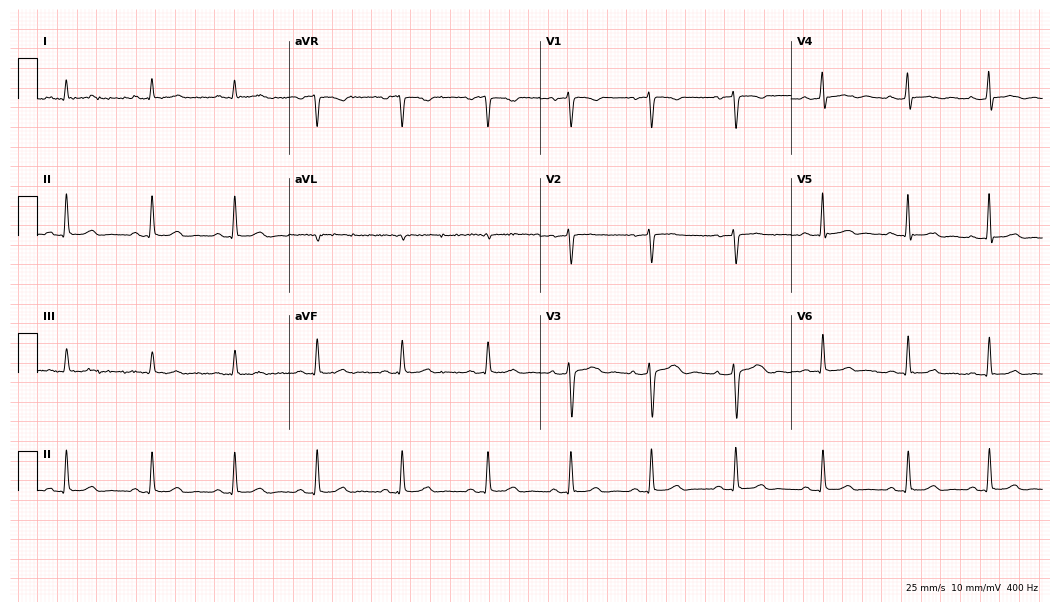
Electrocardiogram (10.2-second recording at 400 Hz), a woman, 46 years old. Overall reading on record: normal ECG.